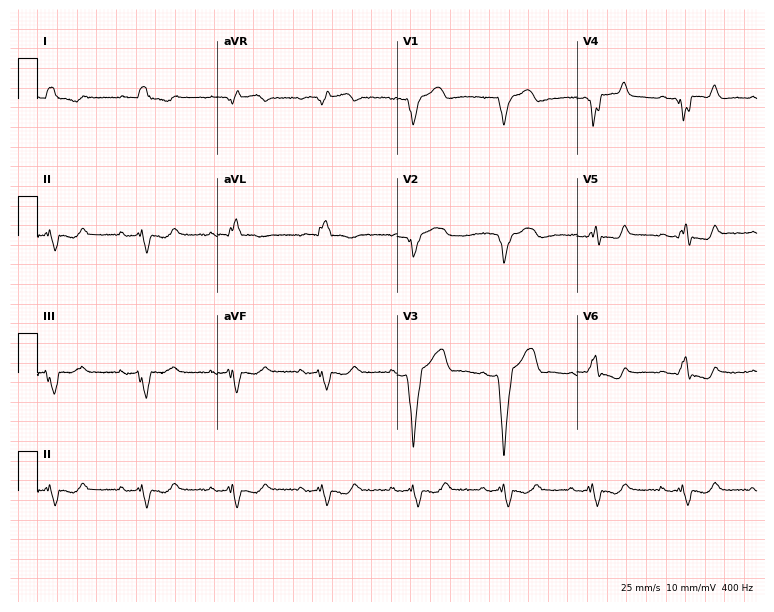
12-lead ECG from a 78-year-old man. Findings include left bundle branch block (LBBB).